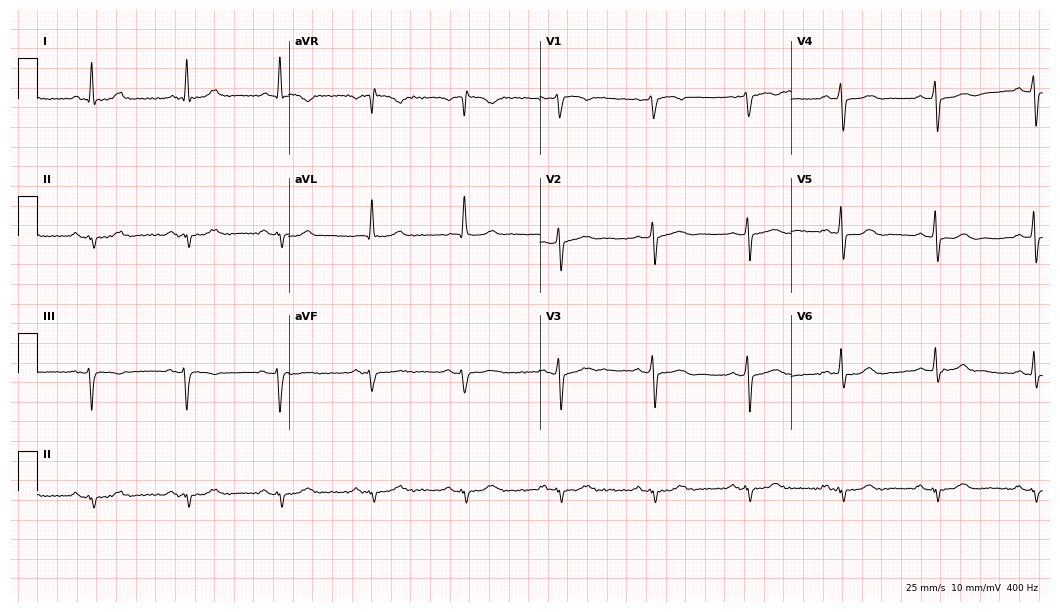
12-lead ECG from a male, 79 years old. No first-degree AV block, right bundle branch block, left bundle branch block, sinus bradycardia, atrial fibrillation or sinus tachycardia recorded for this tracing. Findings outside these six are not listed.